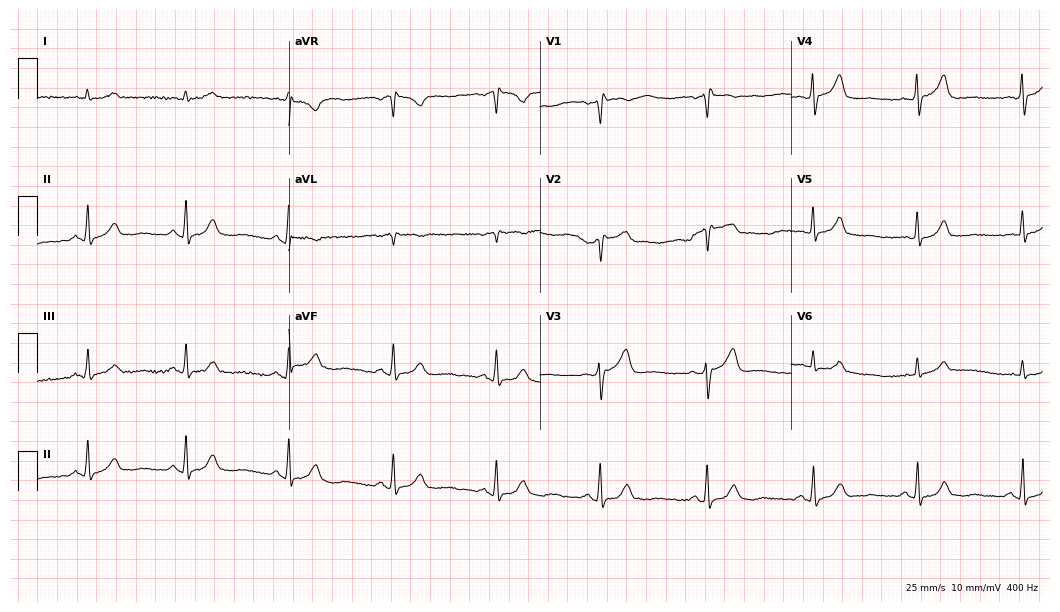
Resting 12-lead electrocardiogram. Patient: an 83-year-old male. None of these six findings is recorded: first-degree AV block, right bundle branch block, left bundle branch block, sinus bradycardia, atrial fibrillation, sinus tachycardia.